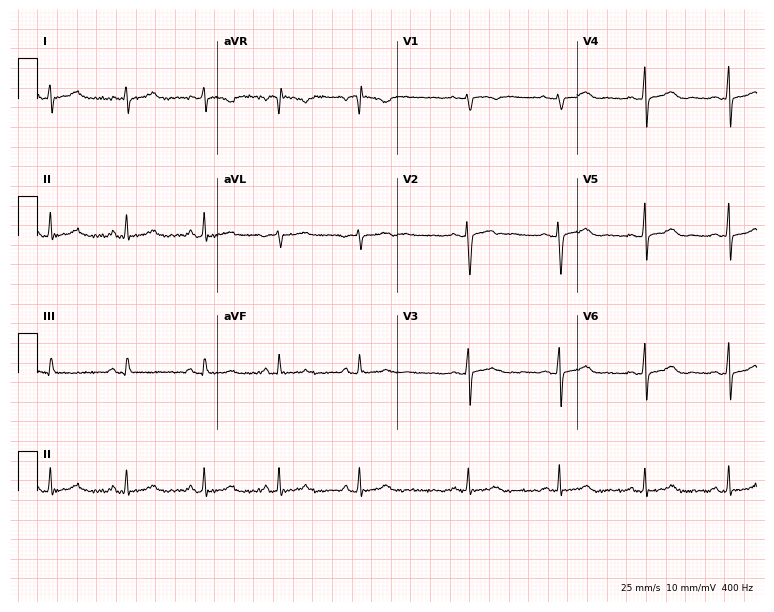
12-lead ECG from an 18-year-old female. No first-degree AV block, right bundle branch block, left bundle branch block, sinus bradycardia, atrial fibrillation or sinus tachycardia recorded for this tracing.